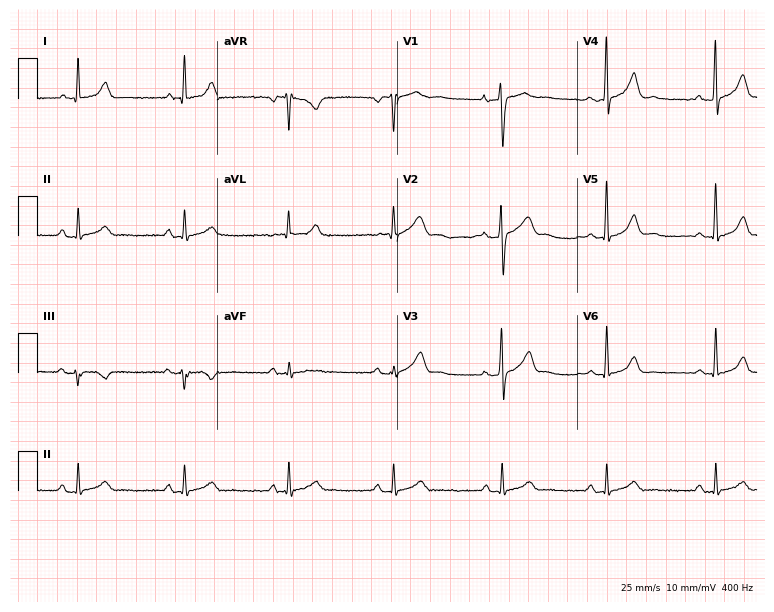
ECG — a 33-year-old male patient. Screened for six findings — first-degree AV block, right bundle branch block (RBBB), left bundle branch block (LBBB), sinus bradycardia, atrial fibrillation (AF), sinus tachycardia — none is recorded. Findings outside these six are not listed.